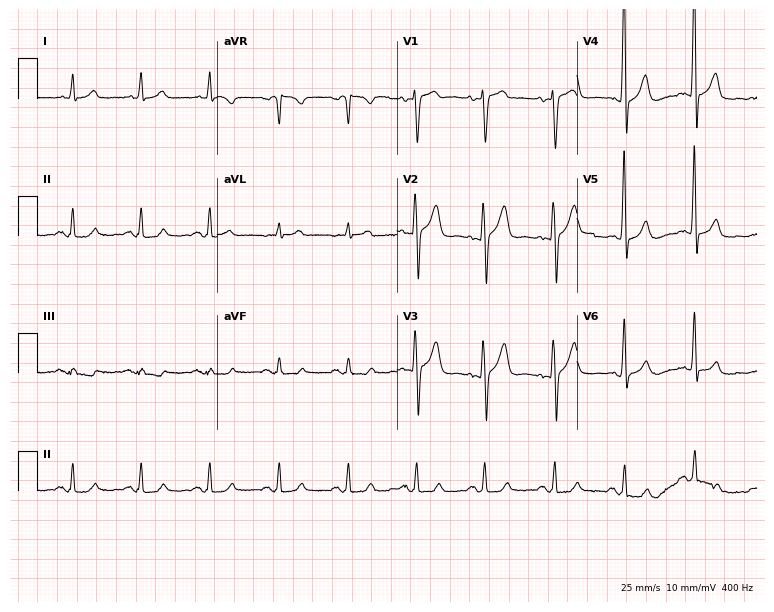
Resting 12-lead electrocardiogram. Patient: a 59-year-old man. Read as a normal ECG.